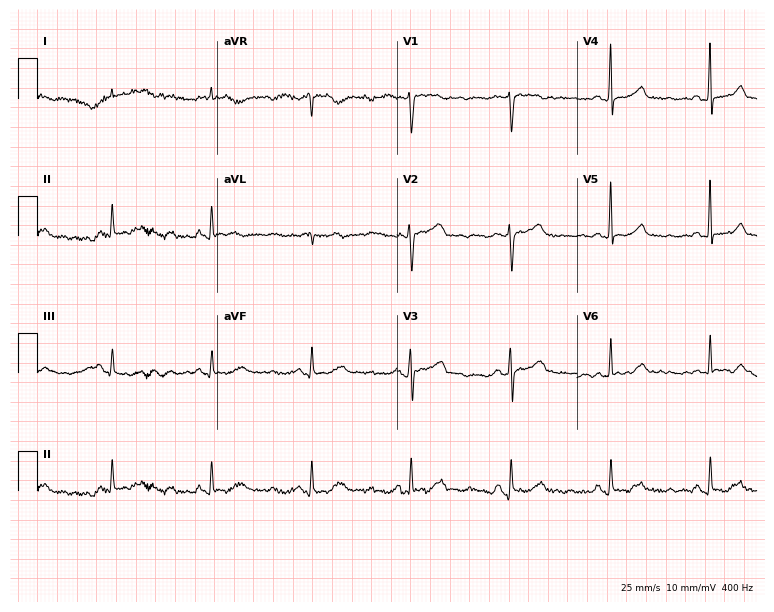
Electrocardiogram, a 65-year-old woman. Of the six screened findings (first-degree AV block, right bundle branch block, left bundle branch block, sinus bradycardia, atrial fibrillation, sinus tachycardia), none is recorded.